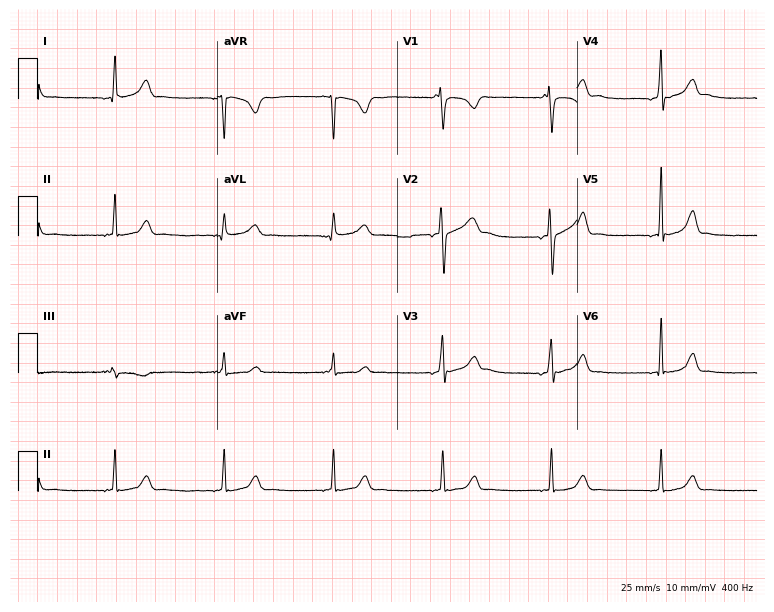
Electrocardiogram (7.3-second recording at 400 Hz), a 26-year-old female. Overall reading on record: normal ECG.